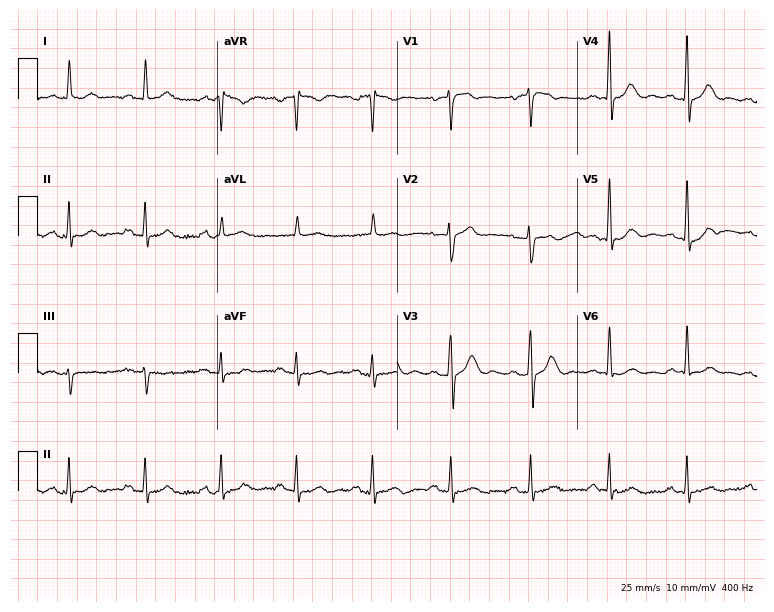
12-lead ECG (7.3-second recording at 400 Hz) from a female patient, 60 years old. Screened for six findings — first-degree AV block, right bundle branch block, left bundle branch block, sinus bradycardia, atrial fibrillation, sinus tachycardia — none is recorded.